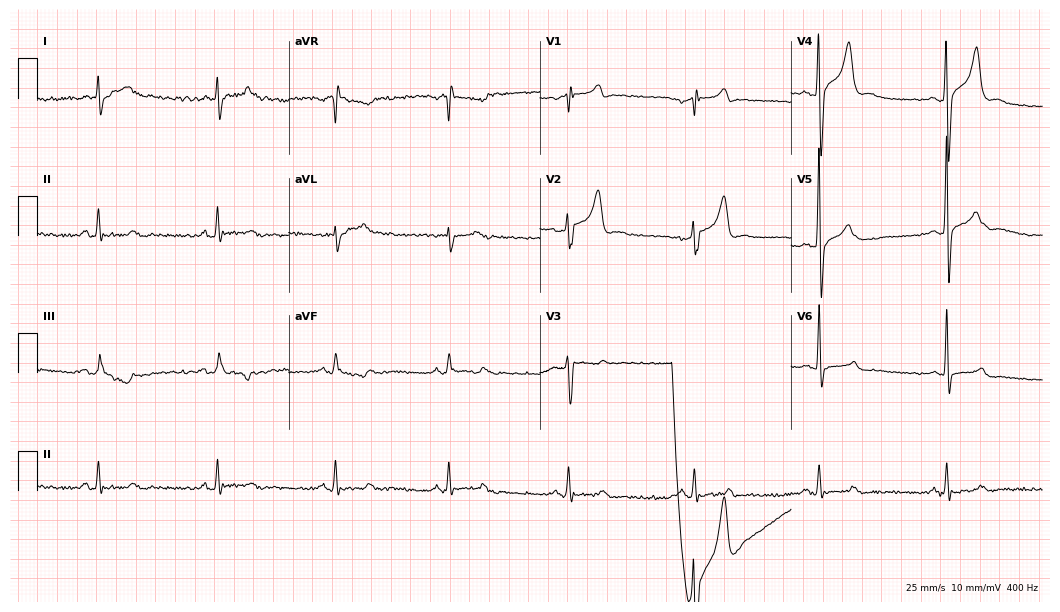
12-lead ECG (10.2-second recording at 400 Hz) from a man, 53 years old. Findings include sinus bradycardia (a sinus rate of 50 beats per minute or less).